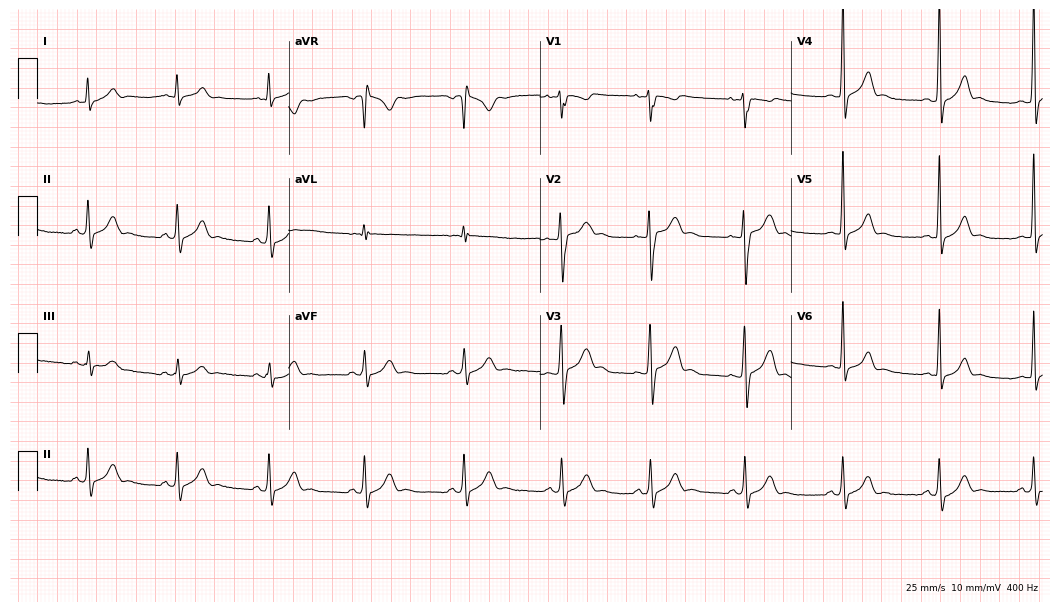
ECG — a male patient, 20 years old. Screened for six findings — first-degree AV block, right bundle branch block, left bundle branch block, sinus bradycardia, atrial fibrillation, sinus tachycardia — none is recorded.